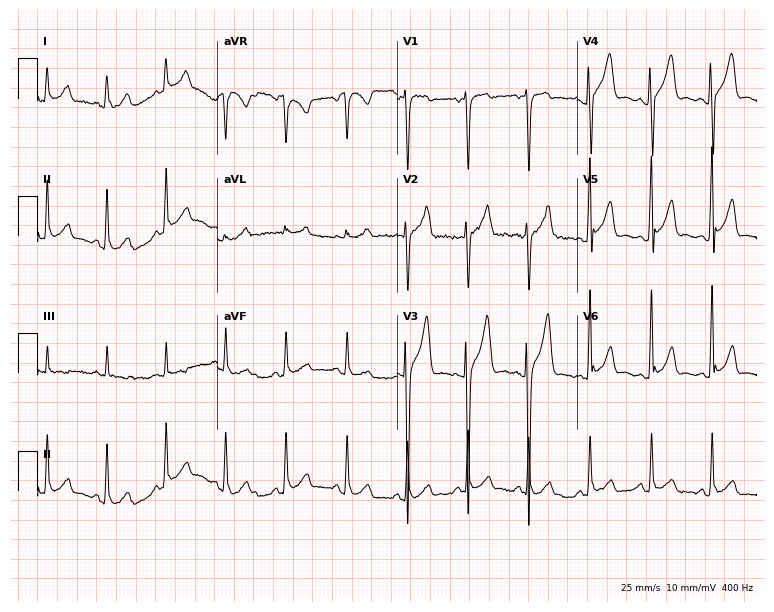
Electrocardiogram (7.3-second recording at 400 Hz), a man, 30 years old. Overall reading on record: normal ECG.